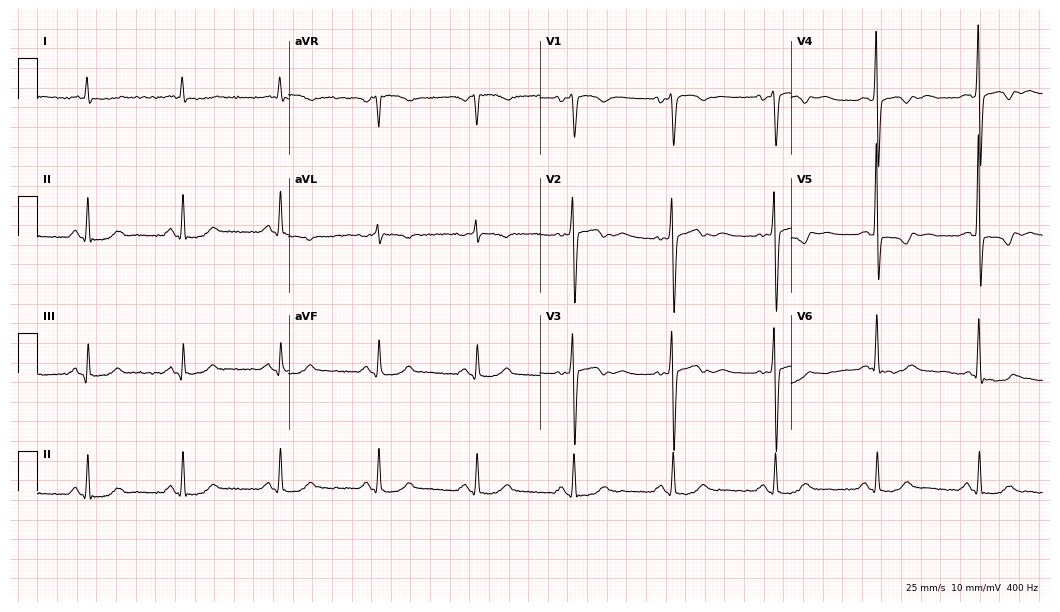
12-lead ECG (10.2-second recording at 400 Hz) from a 53-year-old male patient. Screened for six findings — first-degree AV block, right bundle branch block, left bundle branch block, sinus bradycardia, atrial fibrillation, sinus tachycardia — none is recorded. Other findings, if any, are not listed.